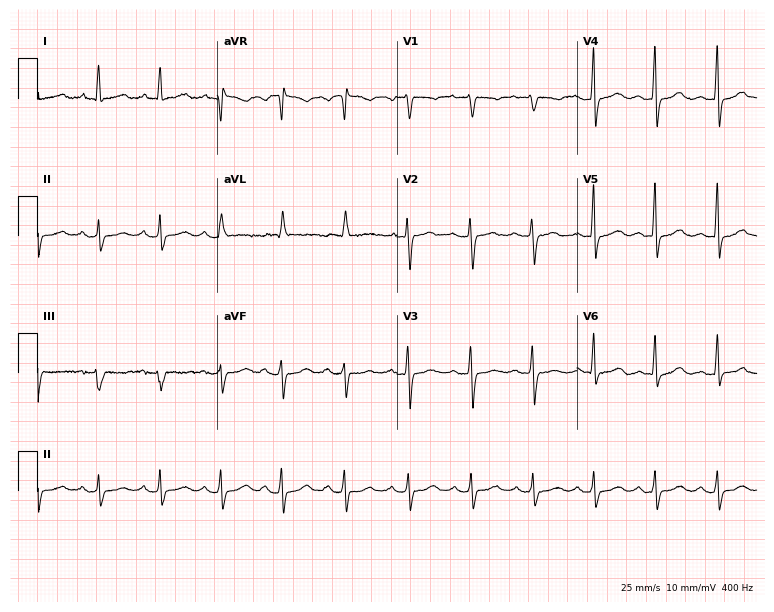
Electrocardiogram (7.3-second recording at 400 Hz), a female patient, 54 years old. Overall reading on record: normal ECG.